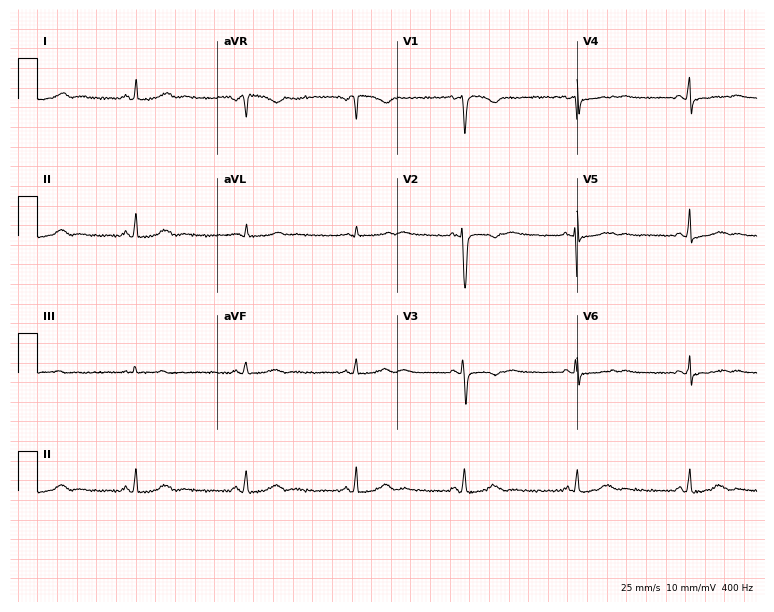
ECG — a 27-year-old female. Screened for six findings — first-degree AV block, right bundle branch block, left bundle branch block, sinus bradycardia, atrial fibrillation, sinus tachycardia — none is recorded. Findings outside these six are not listed.